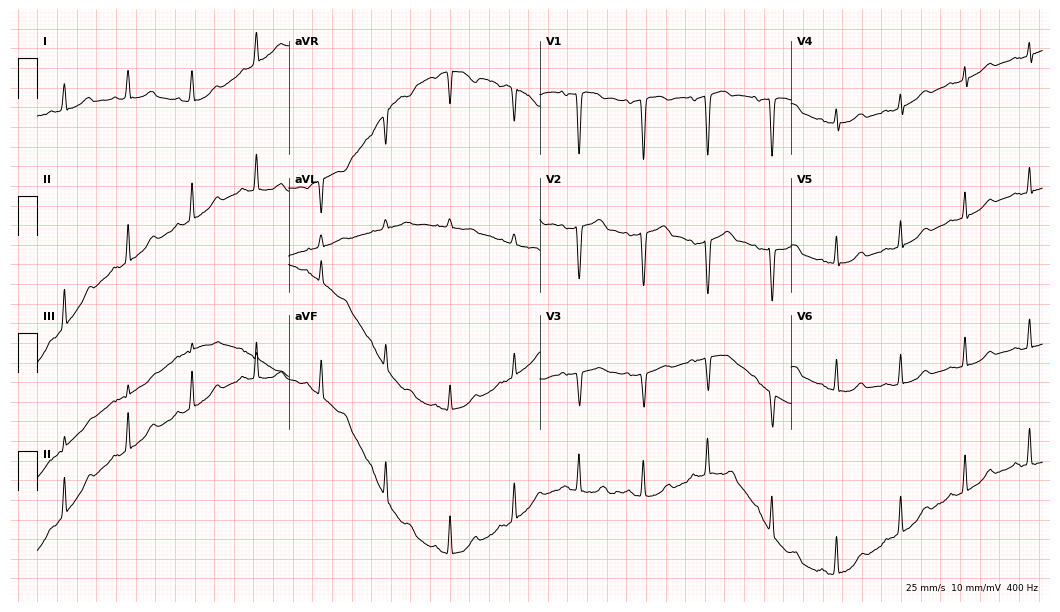
12-lead ECG from a female, 56 years old. No first-degree AV block, right bundle branch block, left bundle branch block, sinus bradycardia, atrial fibrillation or sinus tachycardia recorded for this tracing. Other findings, if any, are not listed.